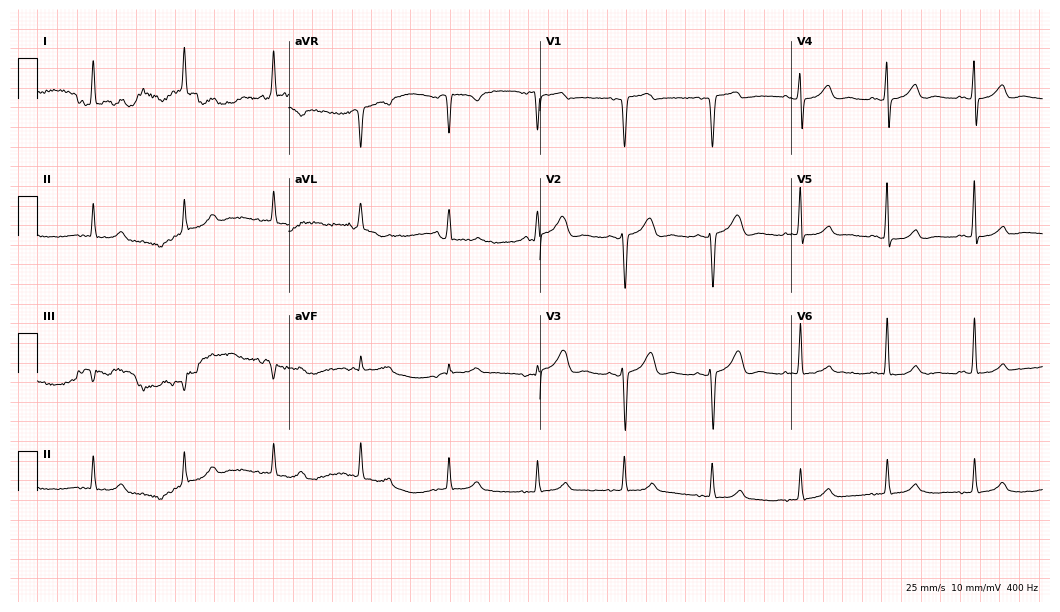
ECG (10.2-second recording at 400 Hz) — a female patient, 56 years old. Screened for six findings — first-degree AV block, right bundle branch block, left bundle branch block, sinus bradycardia, atrial fibrillation, sinus tachycardia — none is recorded.